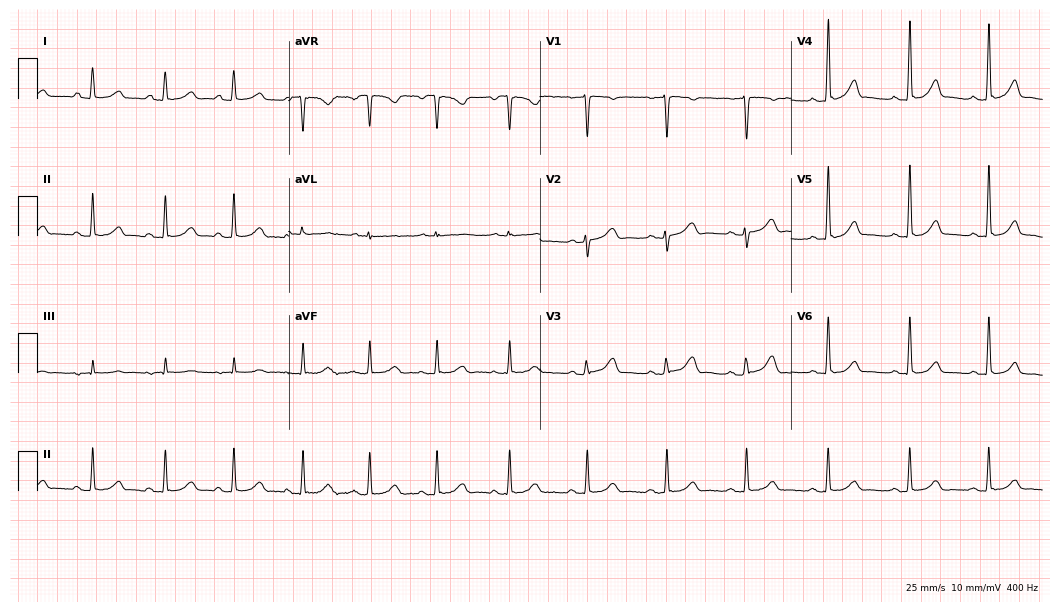
12-lead ECG from a female patient, 27 years old. No first-degree AV block, right bundle branch block, left bundle branch block, sinus bradycardia, atrial fibrillation or sinus tachycardia recorded for this tracing.